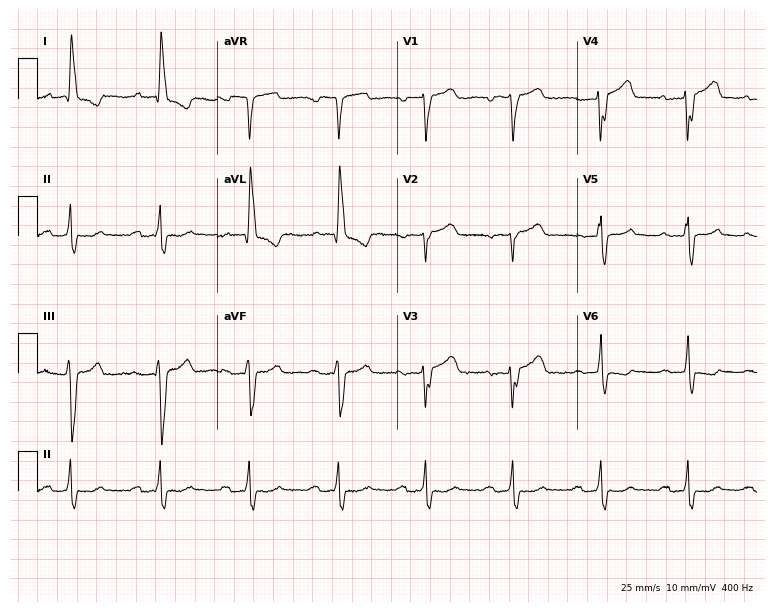
Standard 12-lead ECG recorded from a female patient, 70 years old. The tracing shows first-degree AV block.